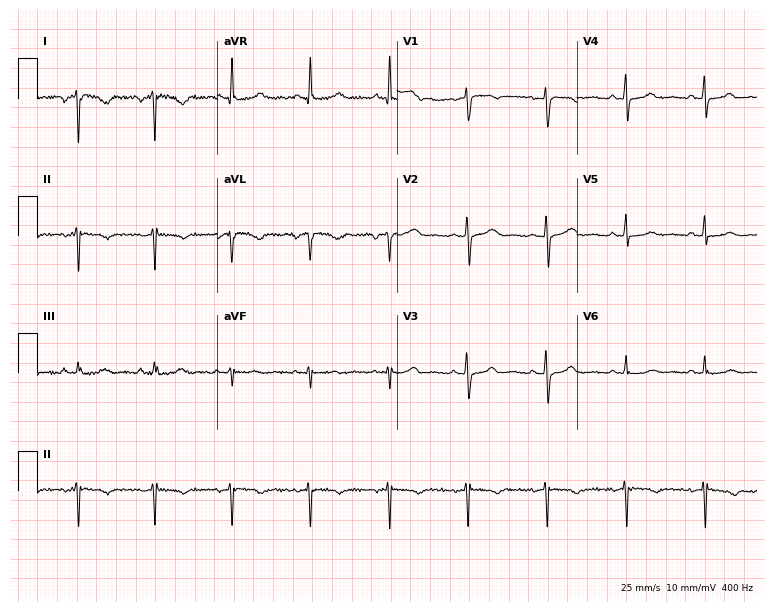
12-lead ECG (7.3-second recording at 400 Hz) from a 53-year-old female patient. Screened for six findings — first-degree AV block, right bundle branch block, left bundle branch block, sinus bradycardia, atrial fibrillation, sinus tachycardia — none is recorded. Other findings, if any, are not listed.